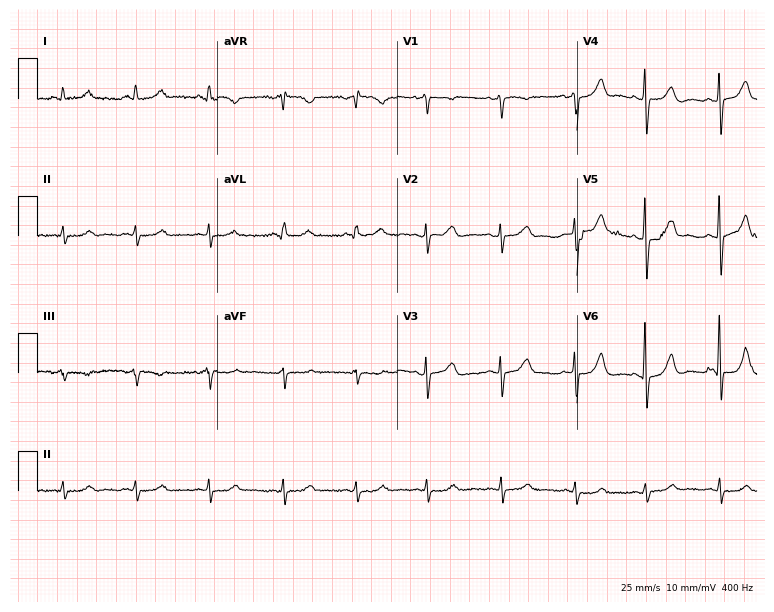
ECG (7.3-second recording at 400 Hz) — a woman, 57 years old. Screened for six findings — first-degree AV block, right bundle branch block, left bundle branch block, sinus bradycardia, atrial fibrillation, sinus tachycardia — none is recorded.